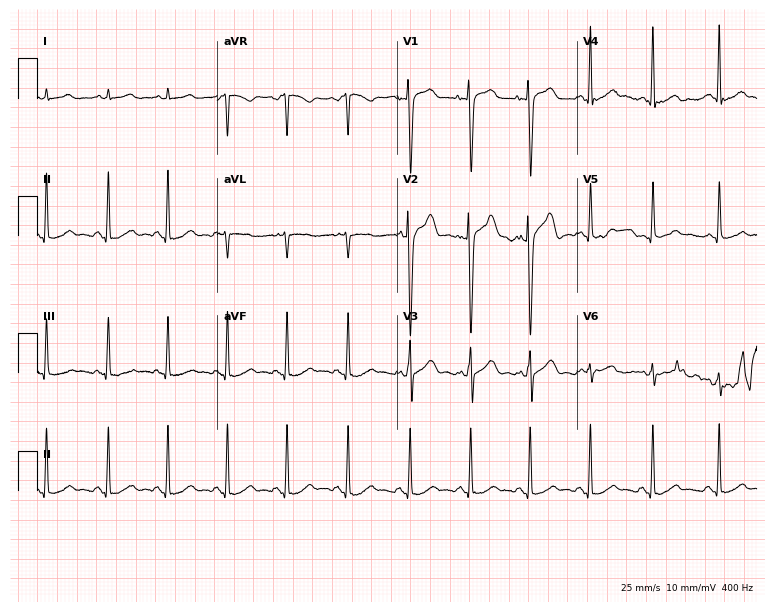
12-lead ECG from a male, 18 years old. Recorded interpretation: within normal limits.